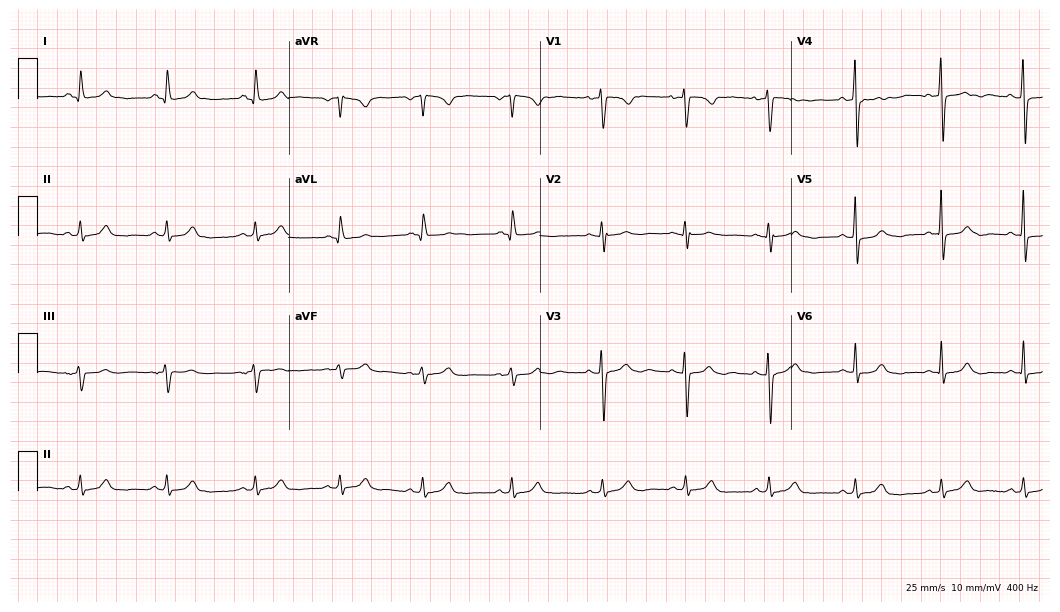
ECG (10.2-second recording at 400 Hz) — a female patient, 27 years old. Labelled as a normal ECG.